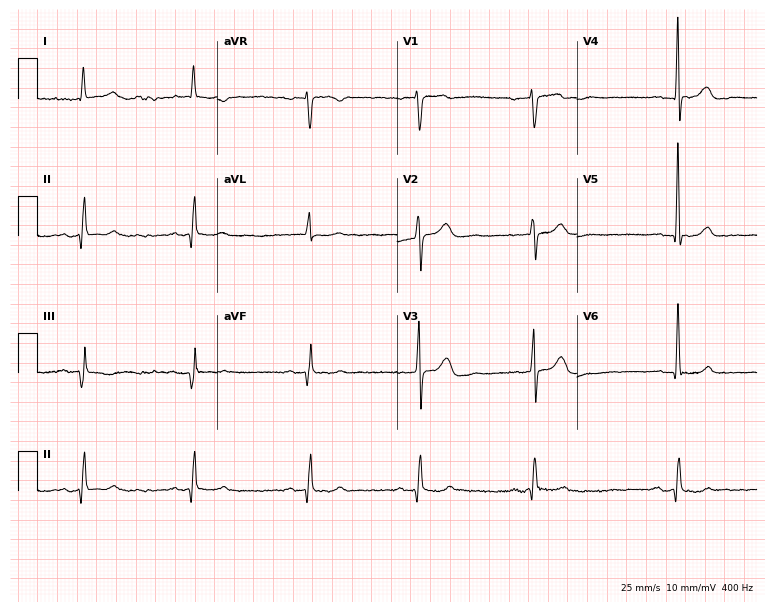
Resting 12-lead electrocardiogram. Patient: a female, 59 years old. The tracing shows sinus bradycardia (a sinus rate of 50 beats per minute or less).